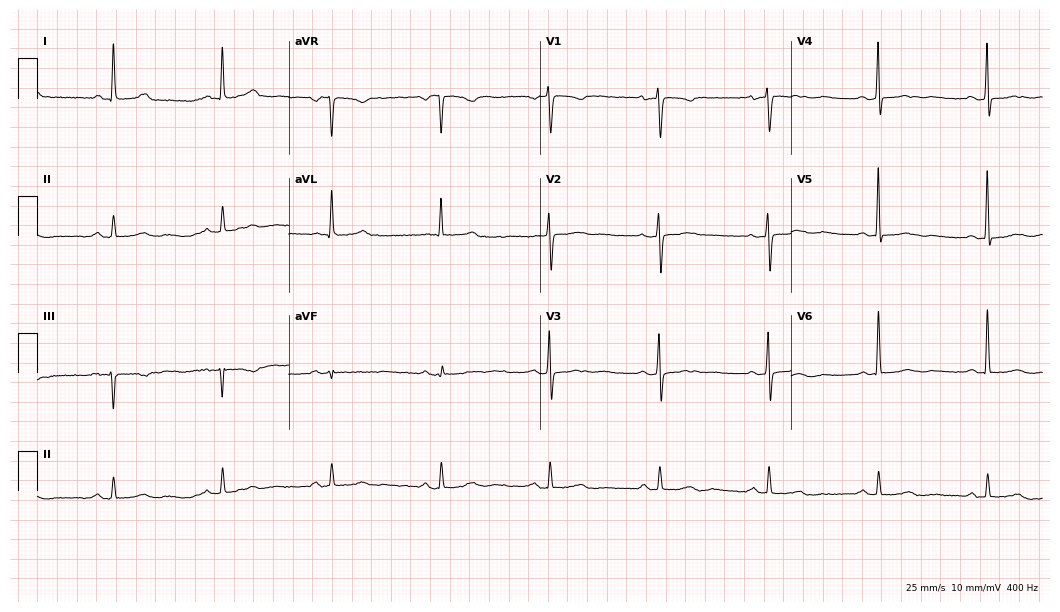
12-lead ECG (10.2-second recording at 400 Hz) from a woman, 78 years old. Screened for six findings — first-degree AV block, right bundle branch block, left bundle branch block, sinus bradycardia, atrial fibrillation, sinus tachycardia — none is recorded.